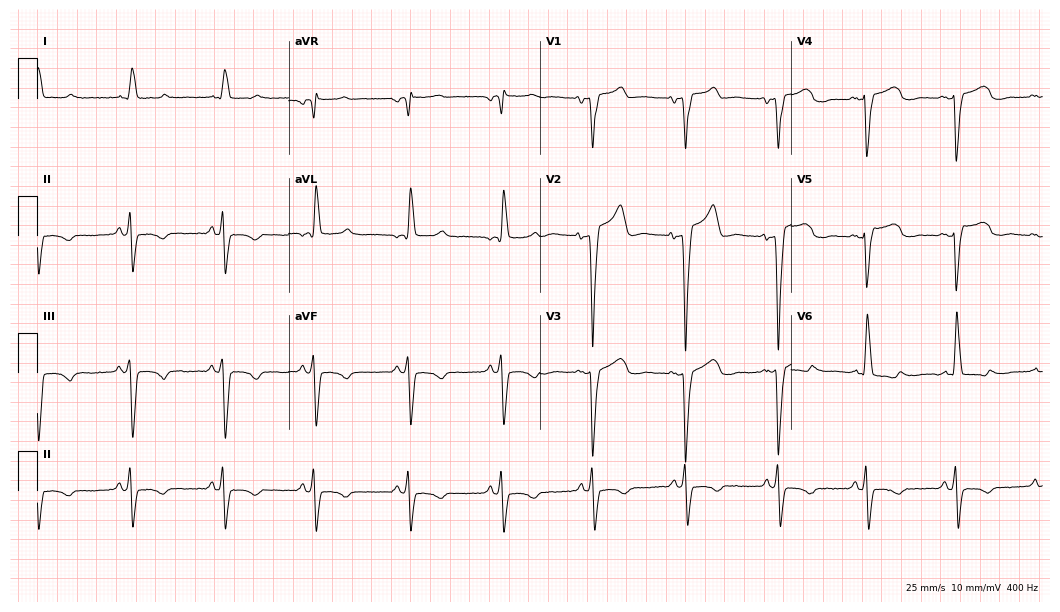
Electrocardiogram (10.2-second recording at 400 Hz), a man, 84 years old. Of the six screened findings (first-degree AV block, right bundle branch block (RBBB), left bundle branch block (LBBB), sinus bradycardia, atrial fibrillation (AF), sinus tachycardia), none is recorded.